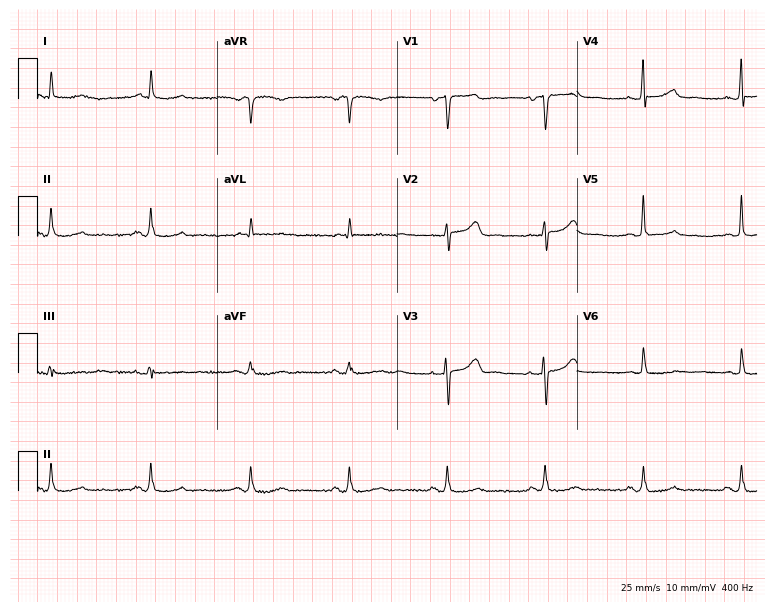
ECG — a man, 65 years old. Screened for six findings — first-degree AV block, right bundle branch block (RBBB), left bundle branch block (LBBB), sinus bradycardia, atrial fibrillation (AF), sinus tachycardia — none is recorded.